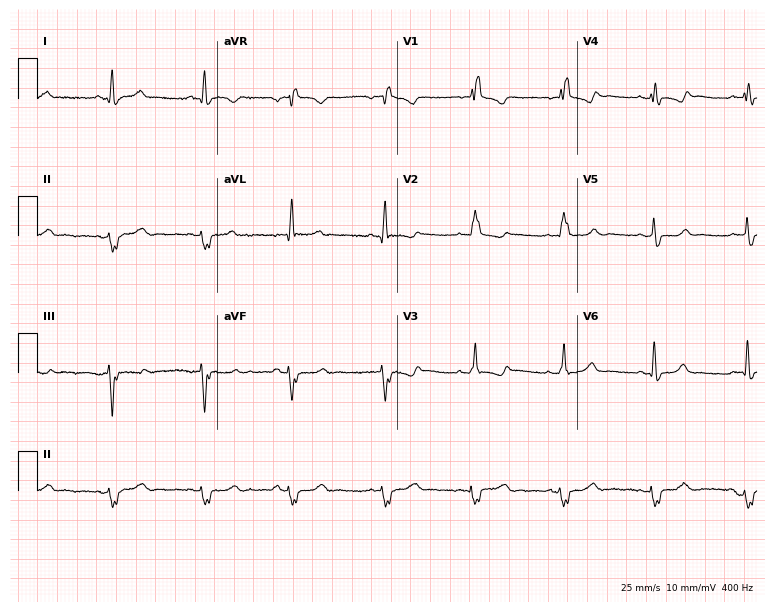
12-lead ECG from a 58-year-old woman. Shows right bundle branch block.